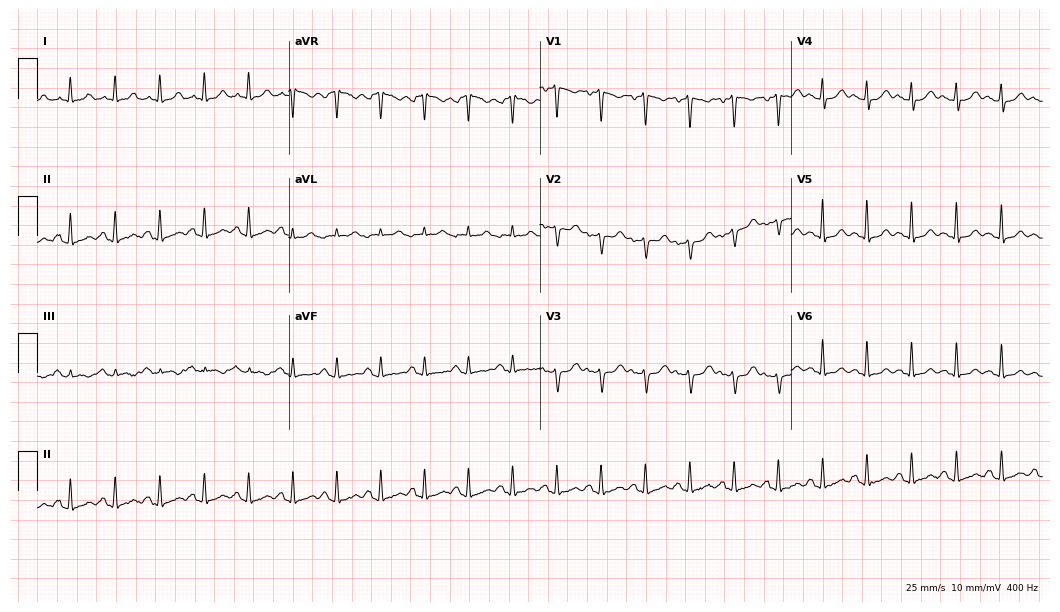
Standard 12-lead ECG recorded from a 32-year-old woman. The tracing shows sinus tachycardia (a sinus rate of 100 beats per minute or more).